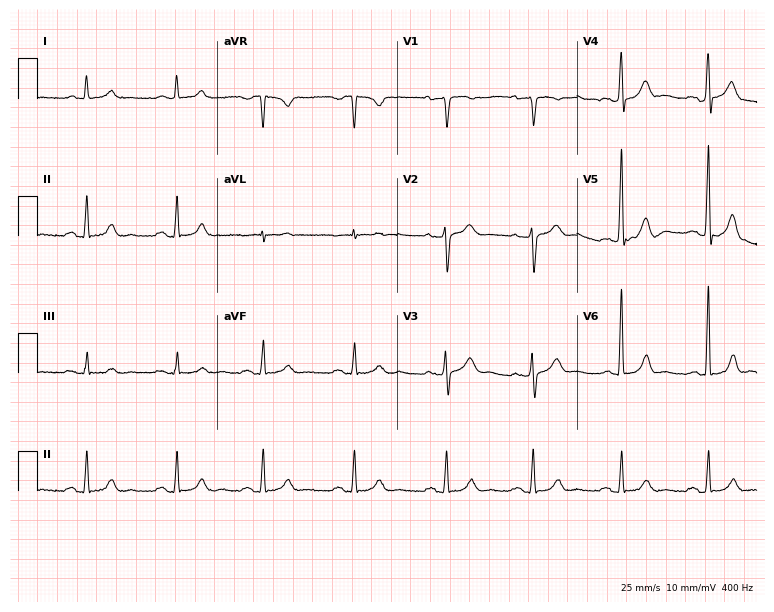
ECG (7.3-second recording at 400 Hz) — a 76-year-old male patient. Screened for six findings — first-degree AV block, right bundle branch block (RBBB), left bundle branch block (LBBB), sinus bradycardia, atrial fibrillation (AF), sinus tachycardia — none is recorded.